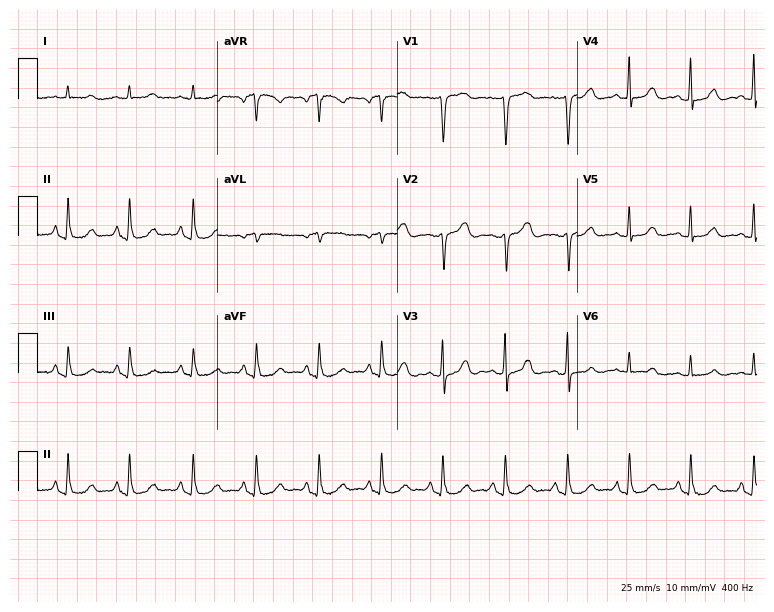
Standard 12-lead ECG recorded from a female, 55 years old (7.3-second recording at 400 Hz). Read as a normal ECG.